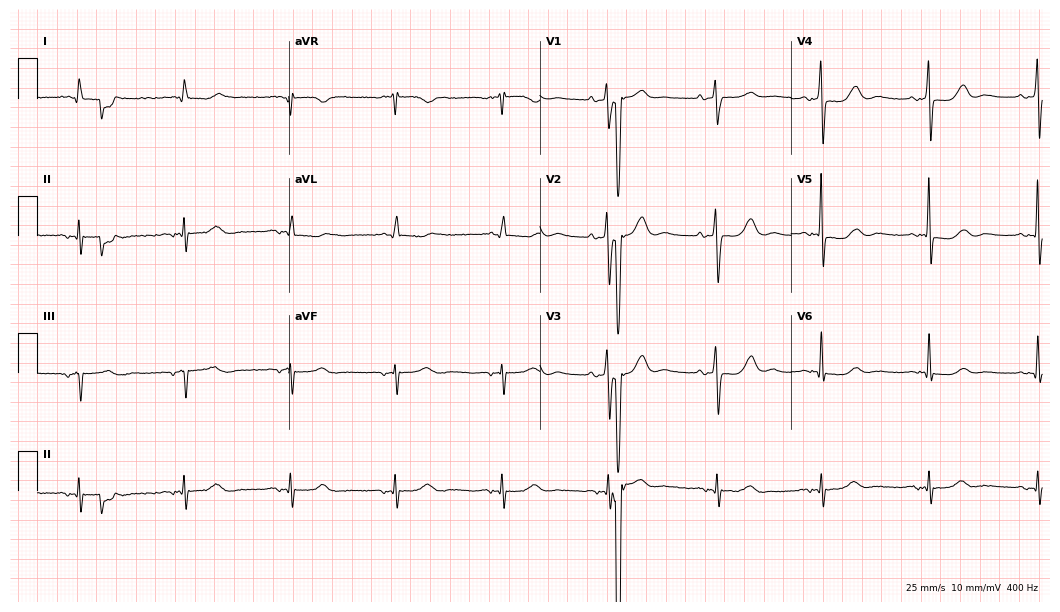
12-lead ECG (10.2-second recording at 400 Hz) from a woman, 83 years old. Labelled as a normal ECG.